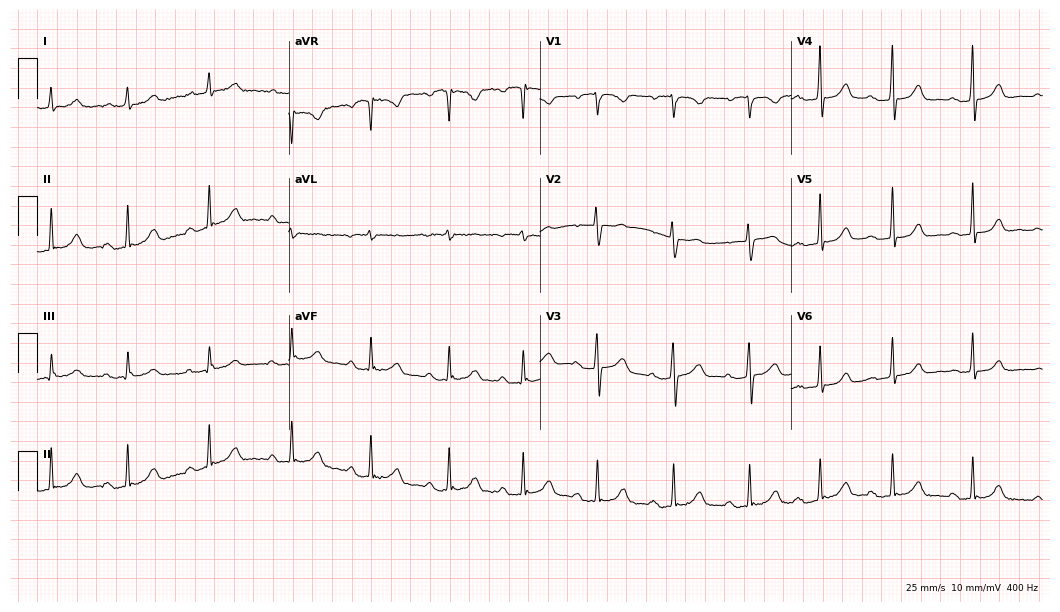
12-lead ECG (10.2-second recording at 400 Hz) from a 79-year-old woman. Labelled as a normal ECG.